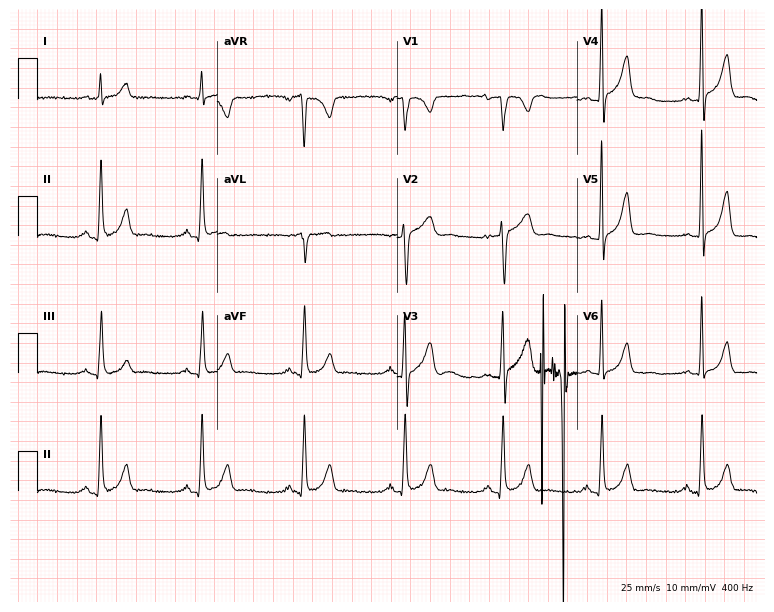
12-lead ECG from a male, 58 years old. Screened for six findings — first-degree AV block, right bundle branch block (RBBB), left bundle branch block (LBBB), sinus bradycardia, atrial fibrillation (AF), sinus tachycardia — none is recorded.